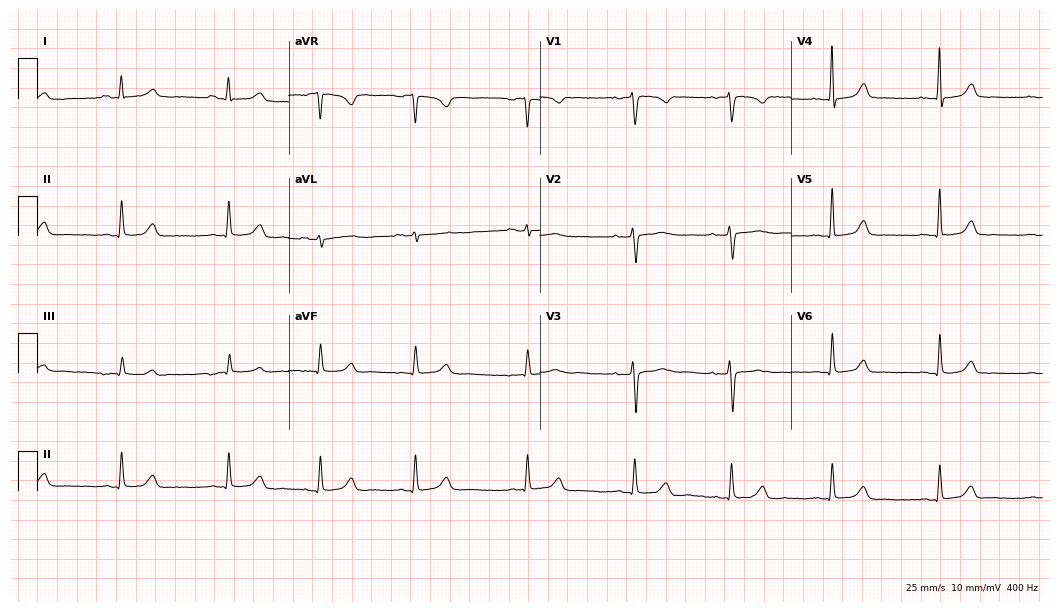
Resting 12-lead electrocardiogram. Patient: a 35-year-old female. Read as a normal ECG.